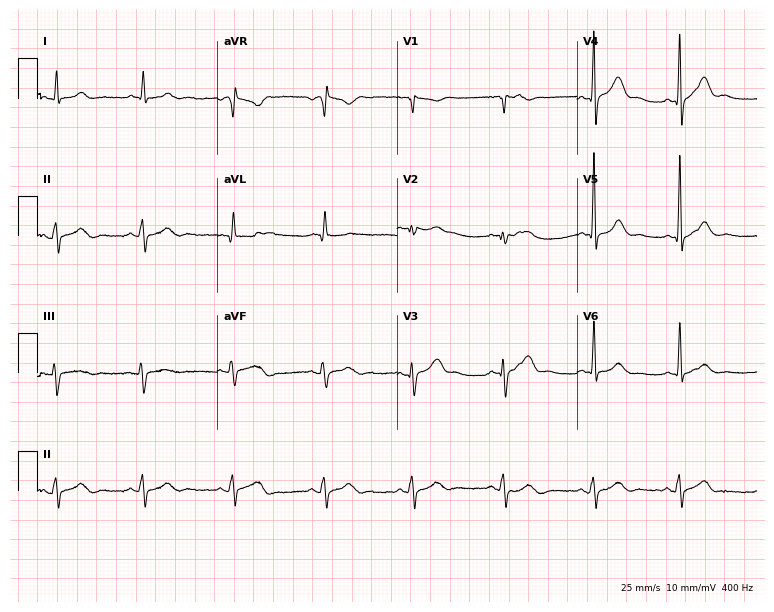
12-lead ECG from a 56-year-old male patient. Recorded interpretation: within normal limits.